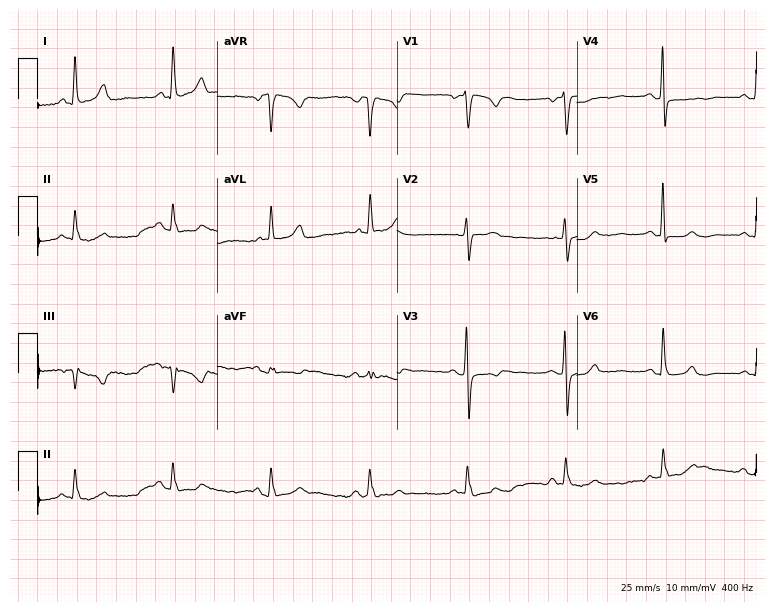
12-lead ECG from a 73-year-old female. No first-degree AV block, right bundle branch block, left bundle branch block, sinus bradycardia, atrial fibrillation or sinus tachycardia recorded for this tracing. Only these six findings were labelled.